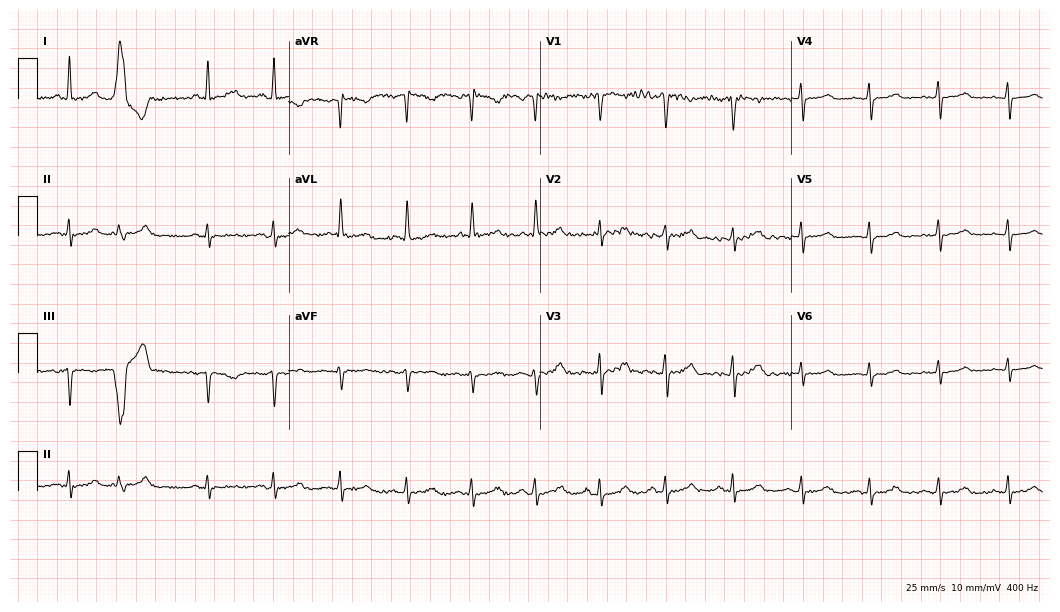
12-lead ECG from a female, 54 years old. Screened for six findings — first-degree AV block, right bundle branch block, left bundle branch block, sinus bradycardia, atrial fibrillation, sinus tachycardia — none is recorded. Only these six findings were labelled.